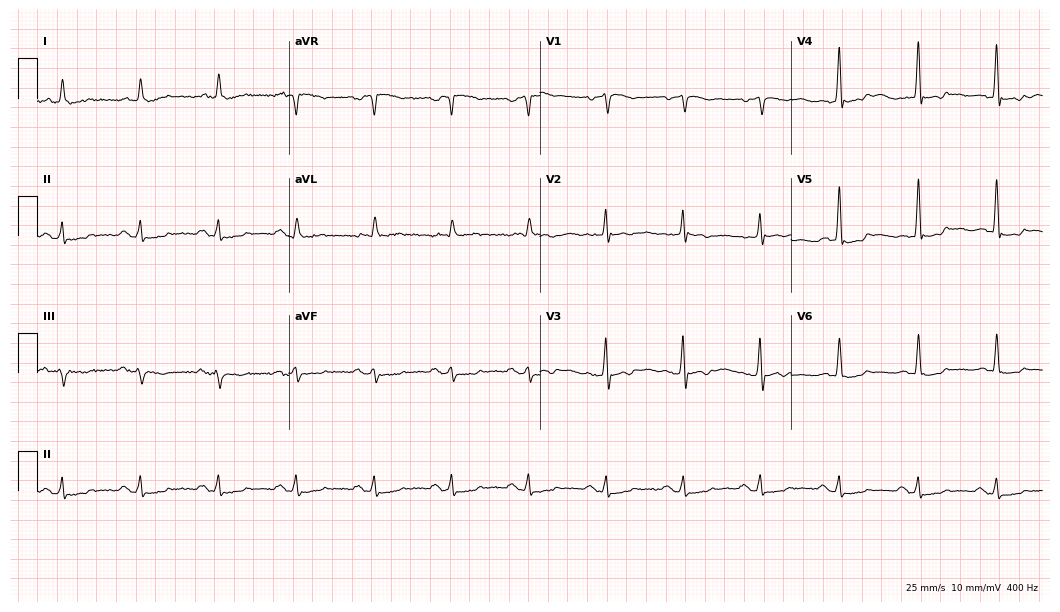
Resting 12-lead electrocardiogram (10.2-second recording at 400 Hz). Patient: a 60-year-old male. None of these six findings is recorded: first-degree AV block, right bundle branch block, left bundle branch block, sinus bradycardia, atrial fibrillation, sinus tachycardia.